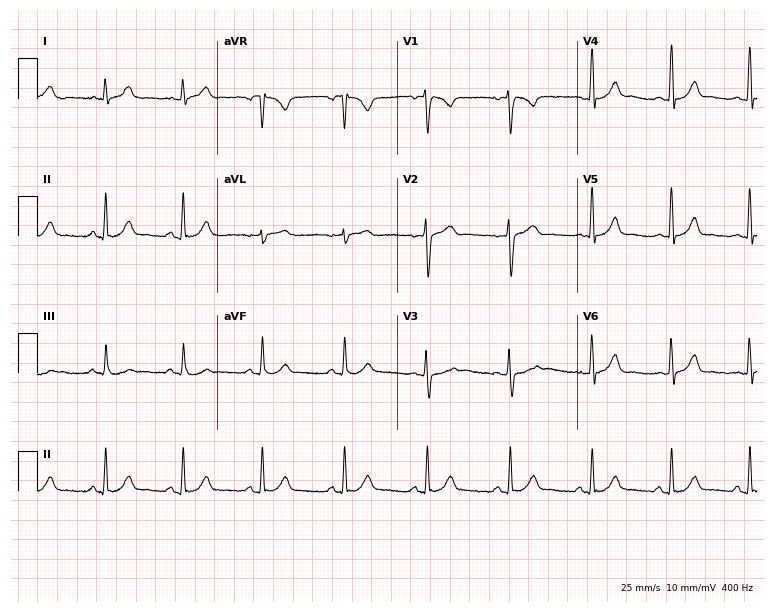
ECG (7.3-second recording at 400 Hz) — a 26-year-old female. Labelled as a normal ECG.